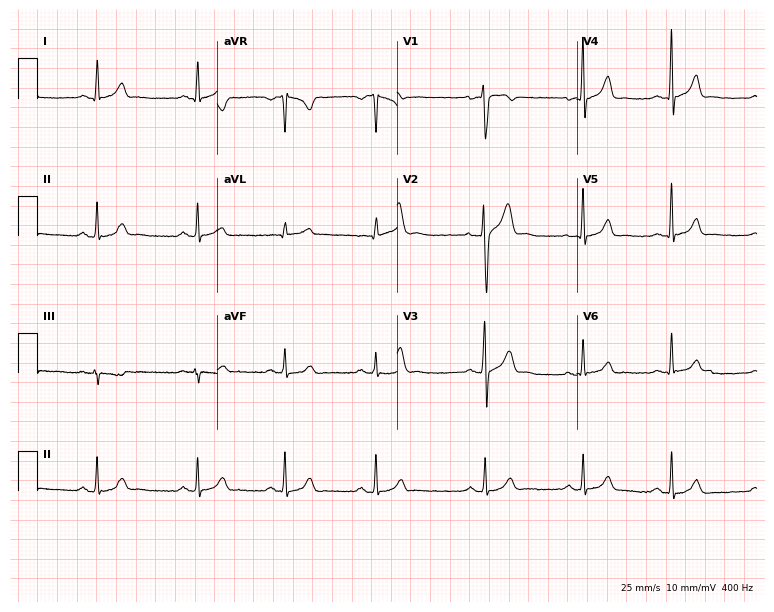
ECG (7.3-second recording at 400 Hz) — a man, 18 years old. Labelled as a normal ECG.